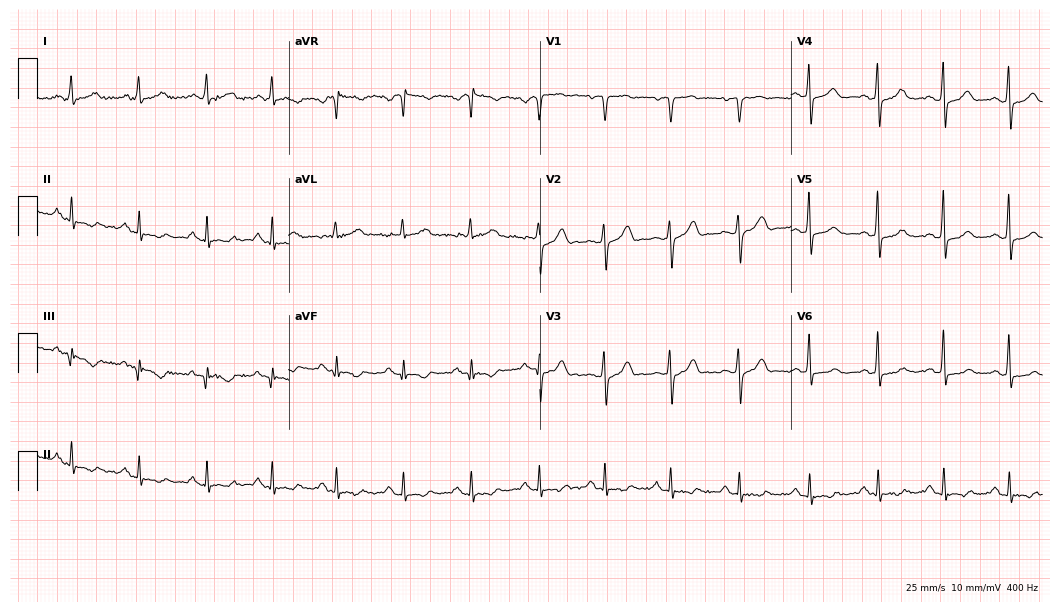
Standard 12-lead ECG recorded from a 66-year-old female patient (10.2-second recording at 400 Hz). None of these six findings is recorded: first-degree AV block, right bundle branch block (RBBB), left bundle branch block (LBBB), sinus bradycardia, atrial fibrillation (AF), sinus tachycardia.